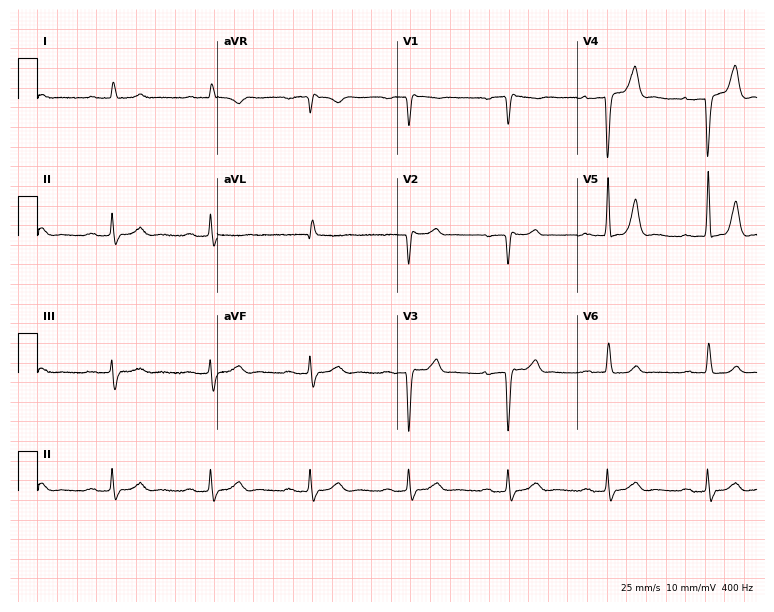
Standard 12-lead ECG recorded from a male patient, 81 years old (7.3-second recording at 400 Hz). Read as a normal ECG.